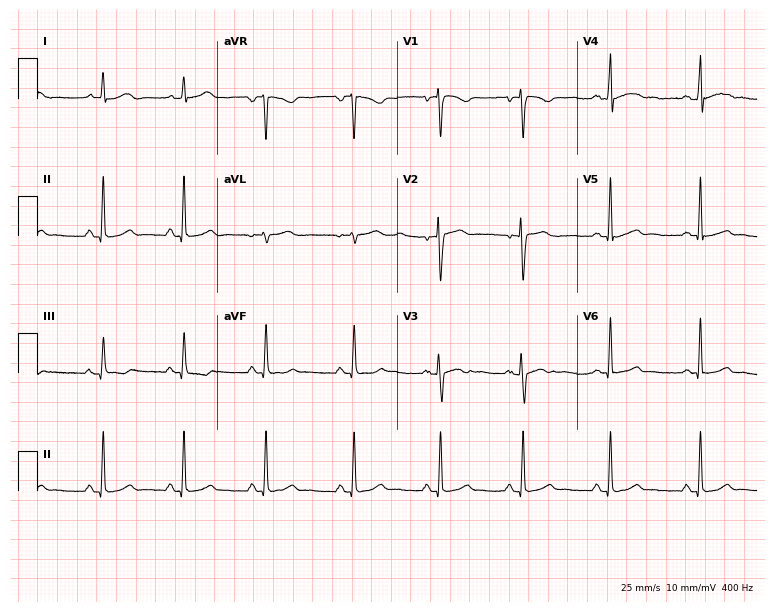
Resting 12-lead electrocardiogram (7.3-second recording at 400 Hz). Patient: a 33-year-old female. Read as a normal ECG.